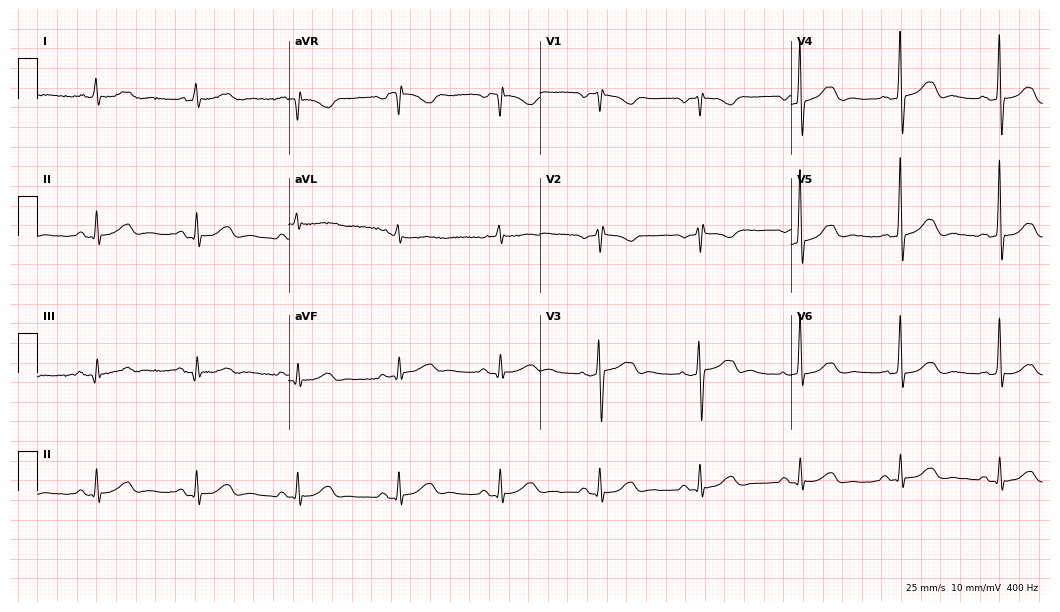
Resting 12-lead electrocardiogram. Patient: a male, 75 years old. None of these six findings is recorded: first-degree AV block, right bundle branch block, left bundle branch block, sinus bradycardia, atrial fibrillation, sinus tachycardia. Other findings, if any, are not listed.